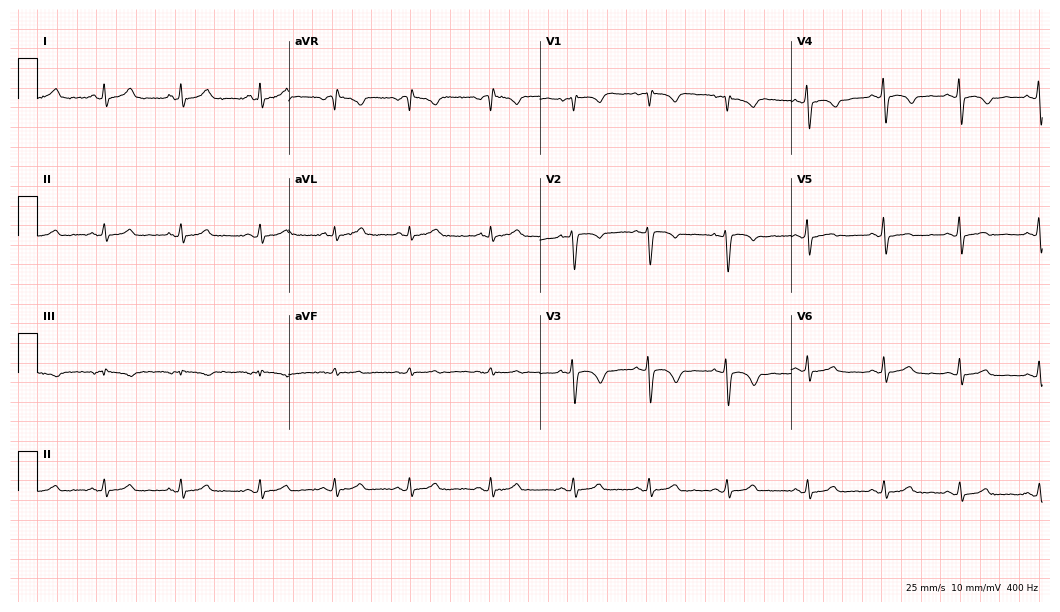
12-lead ECG from a woman, 30 years old (10.2-second recording at 400 Hz). No first-degree AV block, right bundle branch block (RBBB), left bundle branch block (LBBB), sinus bradycardia, atrial fibrillation (AF) or sinus tachycardia recorded for this tracing.